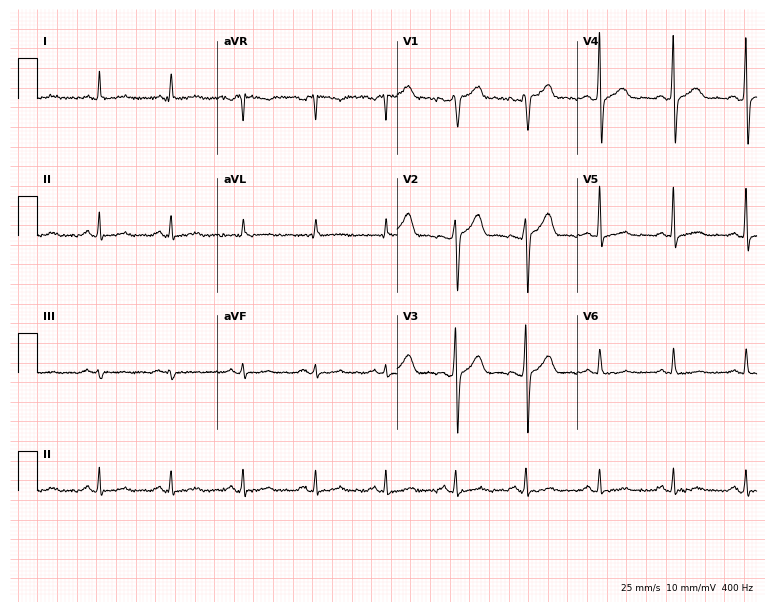
Resting 12-lead electrocardiogram. Patient: a female, 49 years old. Read as a normal ECG.